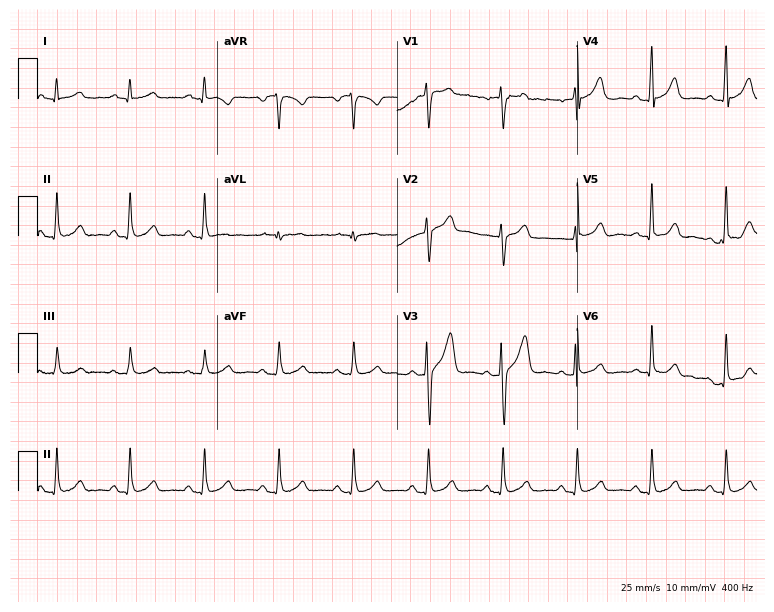
ECG — a 49-year-old male patient. Screened for six findings — first-degree AV block, right bundle branch block (RBBB), left bundle branch block (LBBB), sinus bradycardia, atrial fibrillation (AF), sinus tachycardia — none is recorded. Only these six findings were labelled.